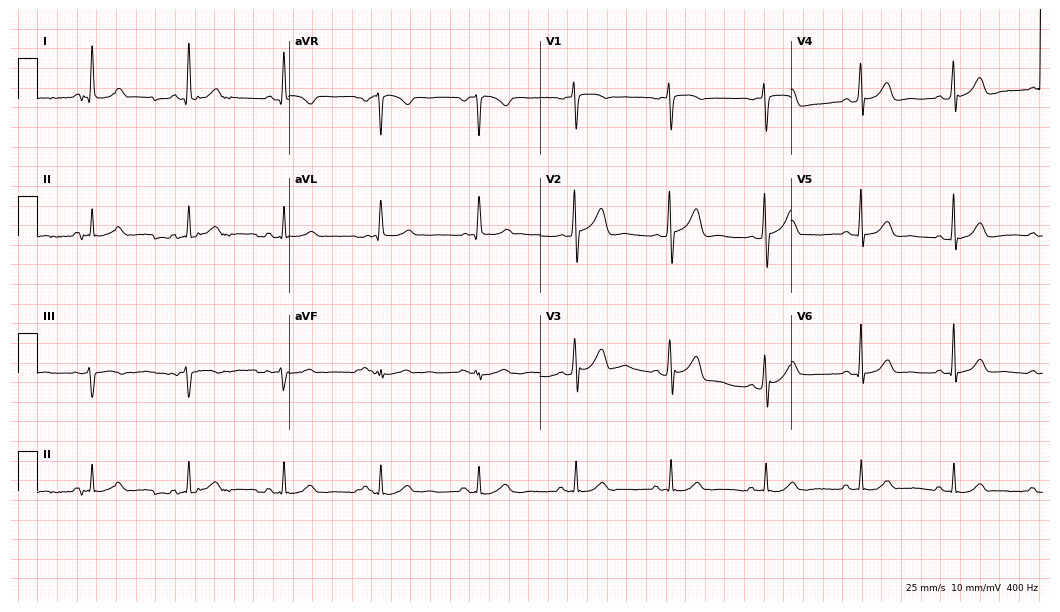
Resting 12-lead electrocardiogram. Patient: a 57-year-old man. None of these six findings is recorded: first-degree AV block, right bundle branch block, left bundle branch block, sinus bradycardia, atrial fibrillation, sinus tachycardia. Only these six findings were labelled.